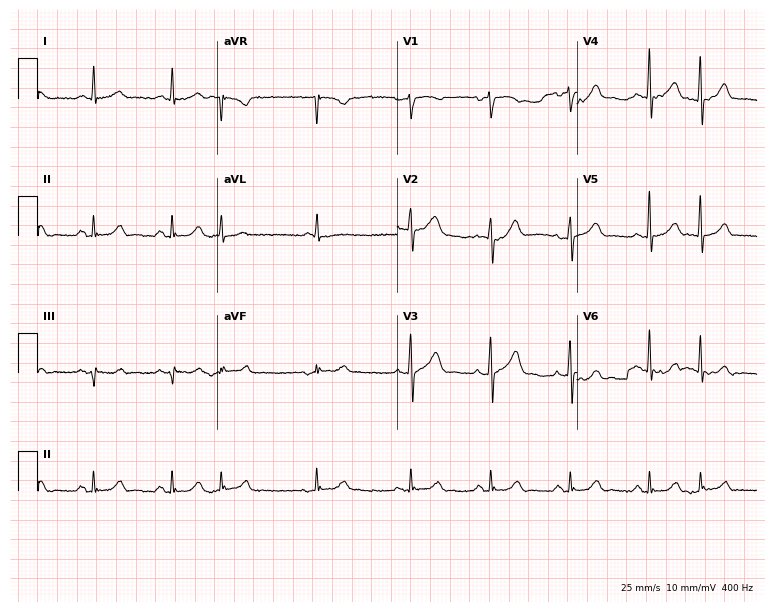
12-lead ECG from a man, 73 years old (7.3-second recording at 400 Hz). No first-degree AV block, right bundle branch block, left bundle branch block, sinus bradycardia, atrial fibrillation or sinus tachycardia recorded for this tracing.